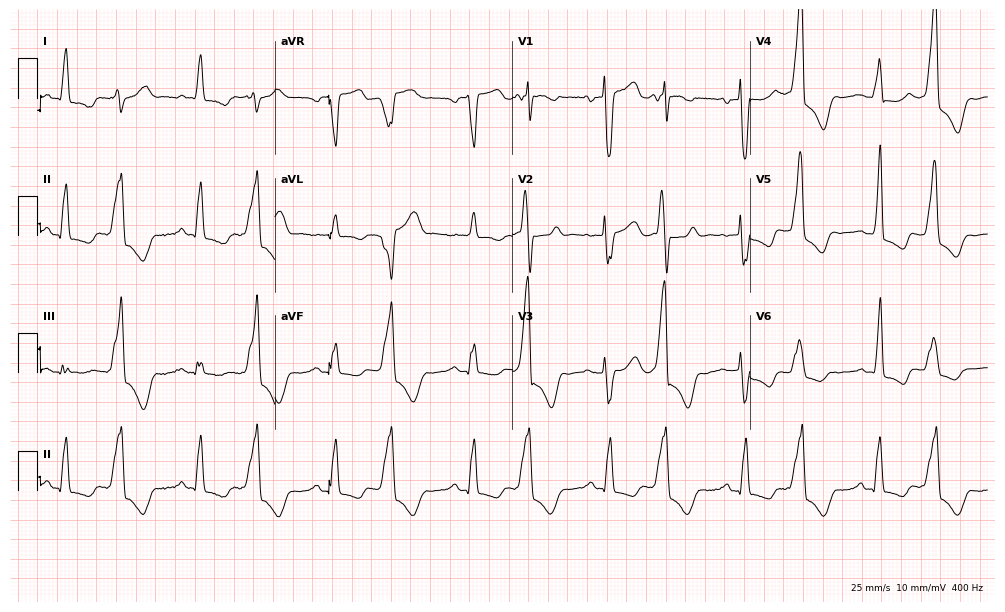
12-lead ECG from a woman, 85 years old (9.7-second recording at 400 Hz). Shows left bundle branch block (LBBB).